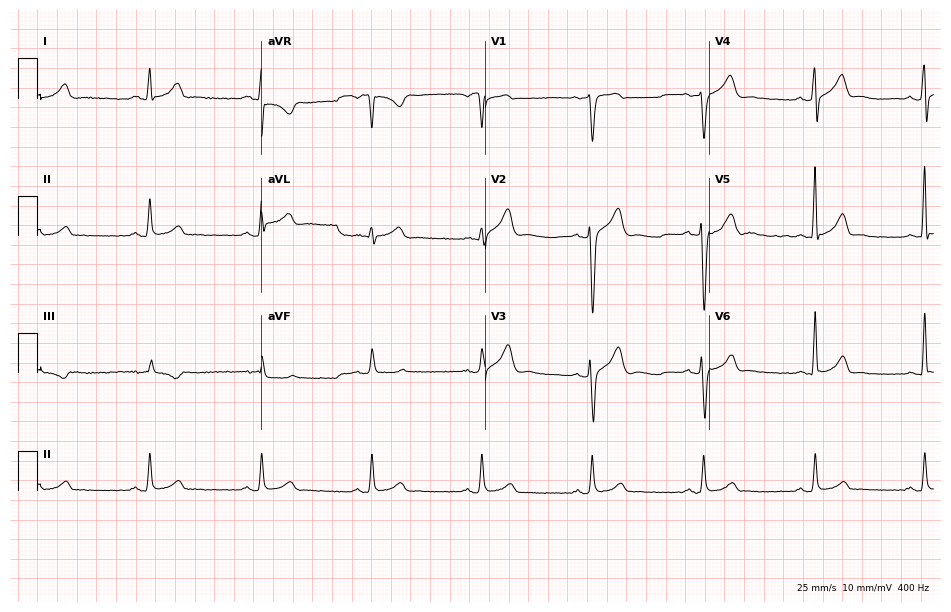
12-lead ECG from a 37-year-old male (9.1-second recording at 400 Hz). Recorded interpretation: within normal limits.